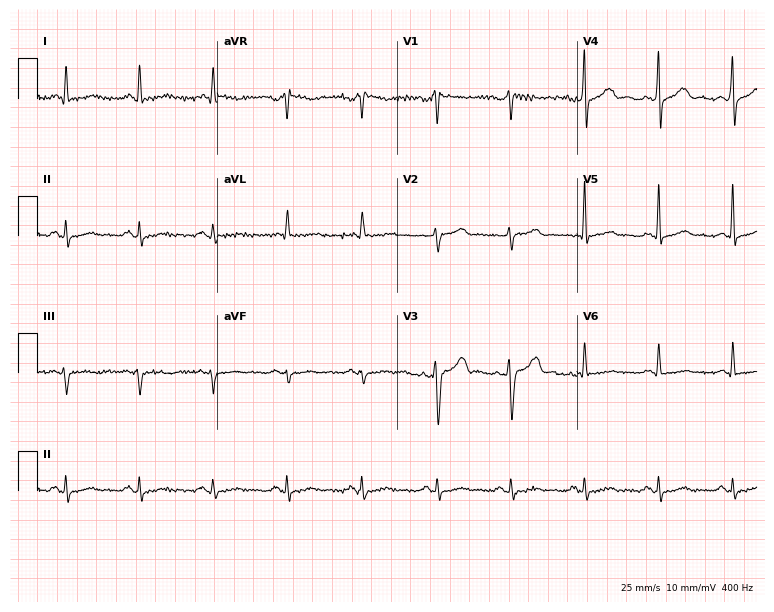
Electrocardiogram, a male patient, 55 years old. Overall reading on record: normal ECG.